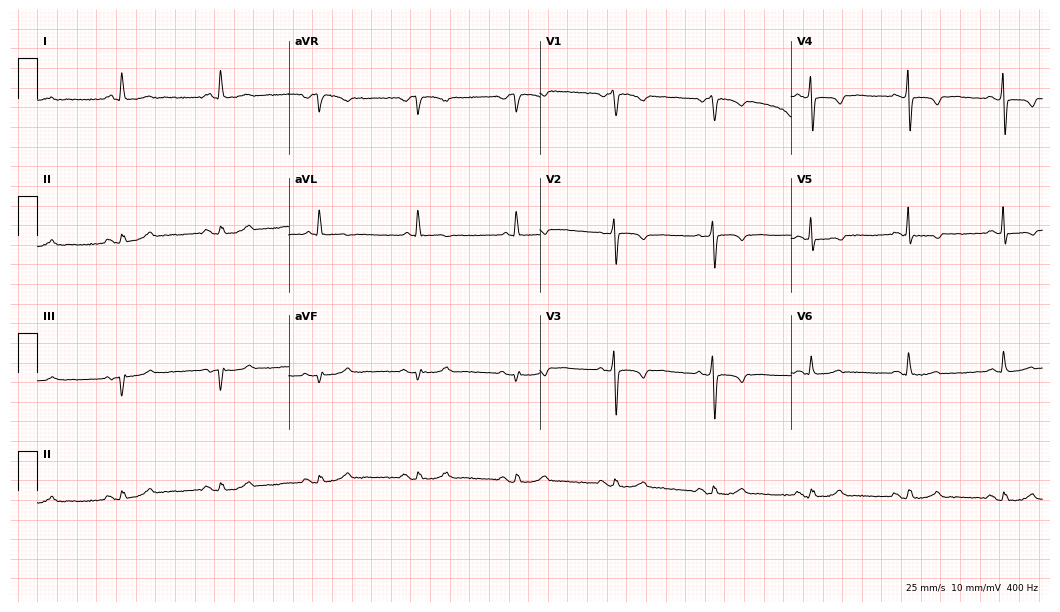
ECG — a 69-year-old female. Screened for six findings — first-degree AV block, right bundle branch block, left bundle branch block, sinus bradycardia, atrial fibrillation, sinus tachycardia — none is recorded.